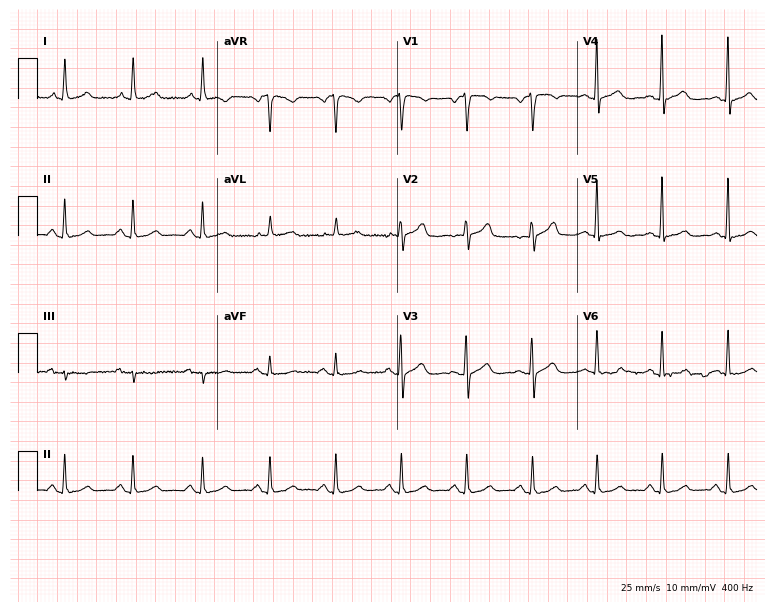
12-lead ECG (7.3-second recording at 400 Hz) from a 65-year-old female patient. Labelled as a normal ECG.